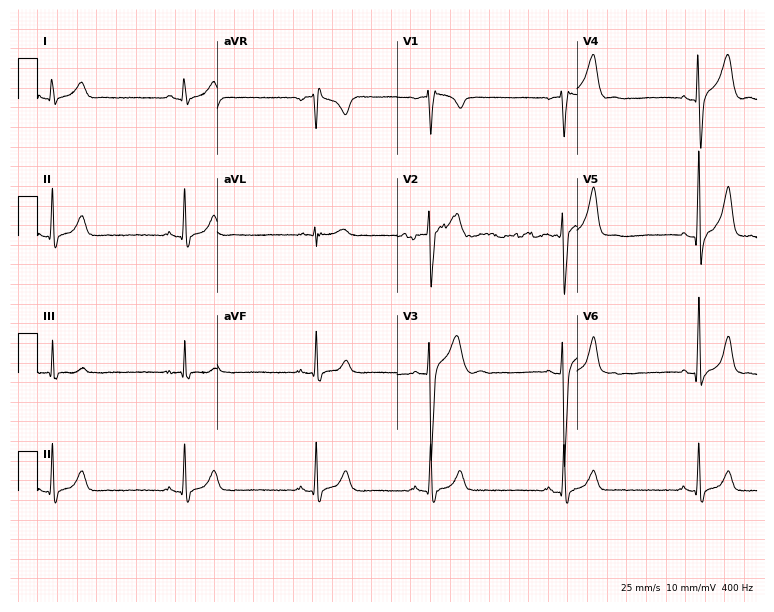
Standard 12-lead ECG recorded from a 23-year-old male patient (7.3-second recording at 400 Hz). None of these six findings is recorded: first-degree AV block, right bundle branch block, left bundle branch block, sinus bradycardia, atrial fibrillation, sinus tachycardia.